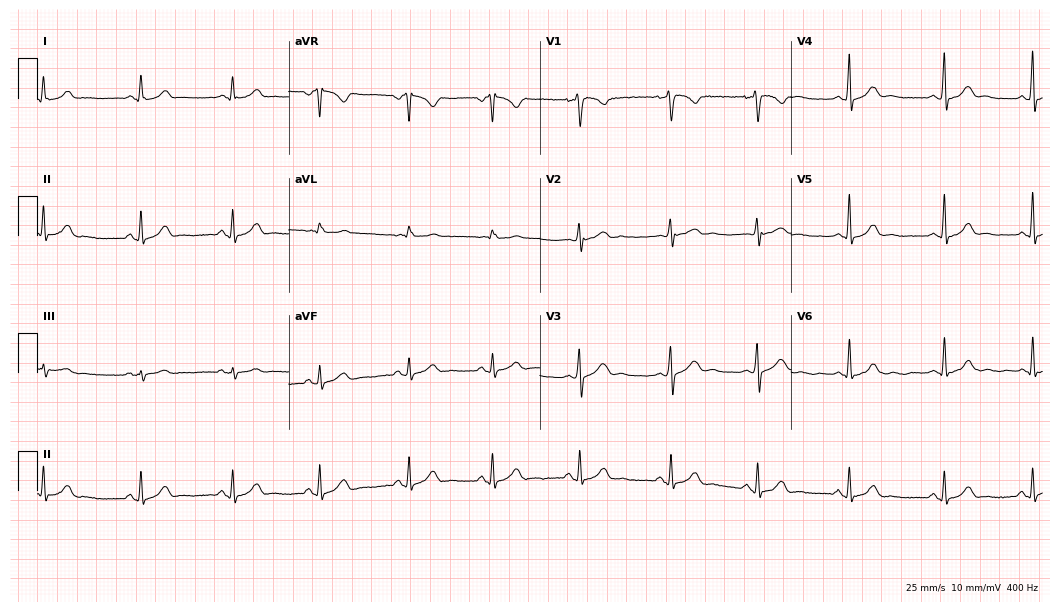
Electrocardiogram, a 21-year-old female patient. Overall reading on record: normal ECG.